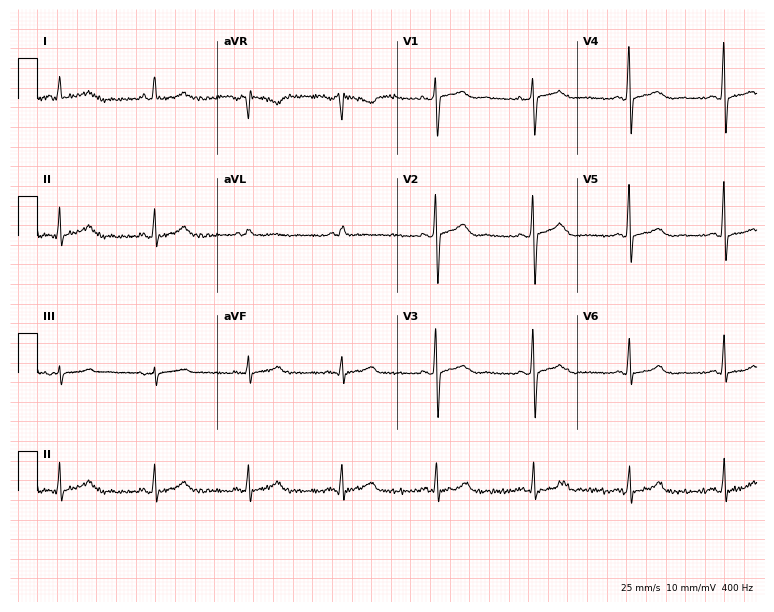
ECG — a female, 58 years old. Labelled as a normal ECG.